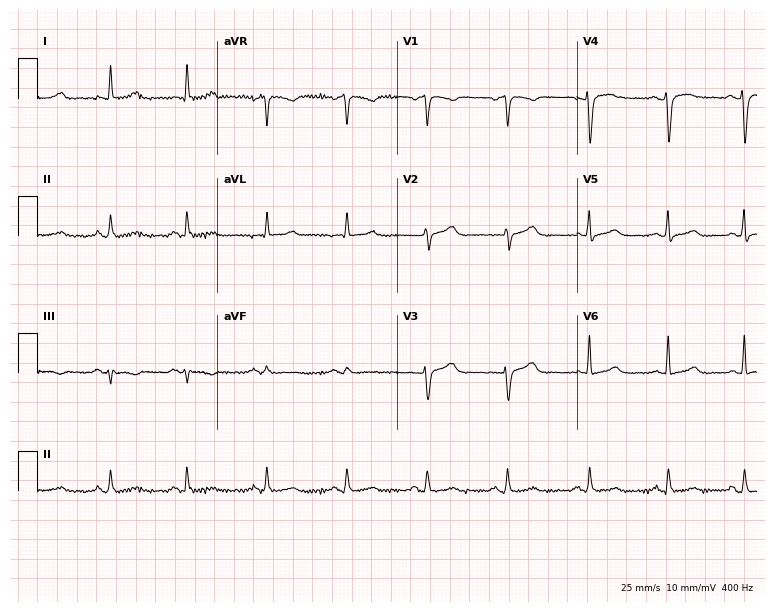
Electrocardiogram, a female patient, 44 years old. Of the six screened findings (first-degree AV block, right bundle branch block, left bundle branch block, sinus bradycardia, atrial fibrillation, sinus tachycardia), none is recorded. Other findings, if any, are not listed.